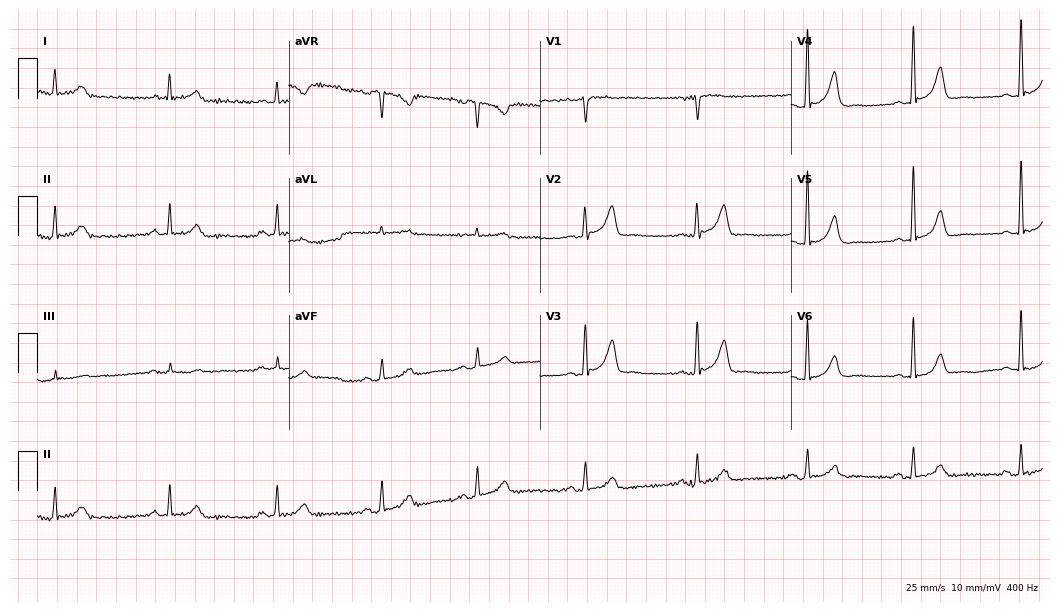
ECG (10.2-second recording at 400 Hz) — a 47-year-old woman. Screened for six findings — first-degree AV block, right bundle branch block (RBBB), left bundle branch block (LBBB), sinus bradycardia, atrial fibrillation (AF), sinus tachycardia — none is recorded. Only these six findings were labelled.